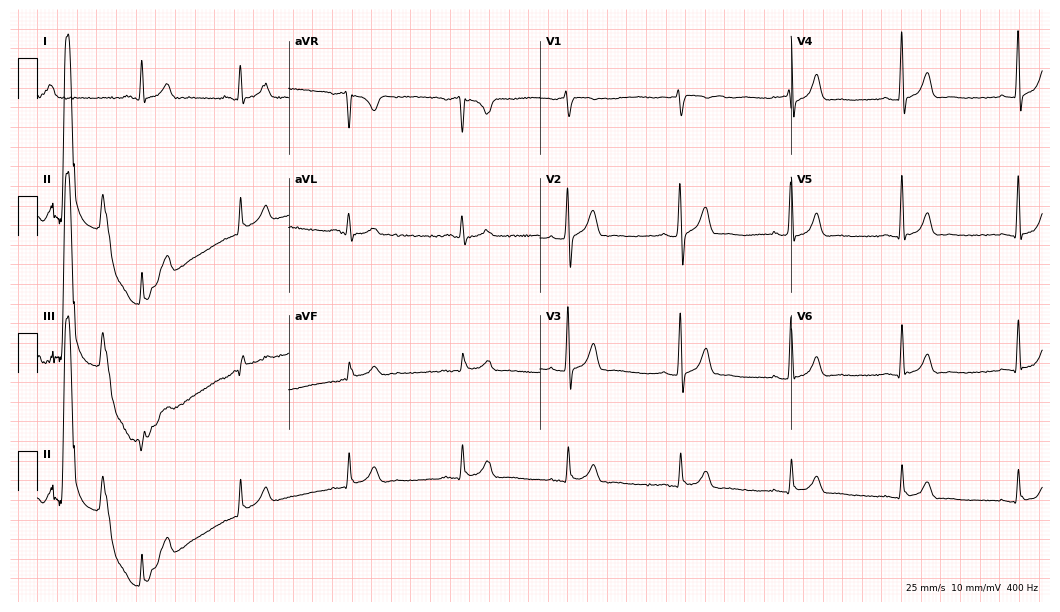
Standard 12-lead ECG recorded from a male, 44 years old (10.2-second recording at 400 Hz). Read as a normal ECG.